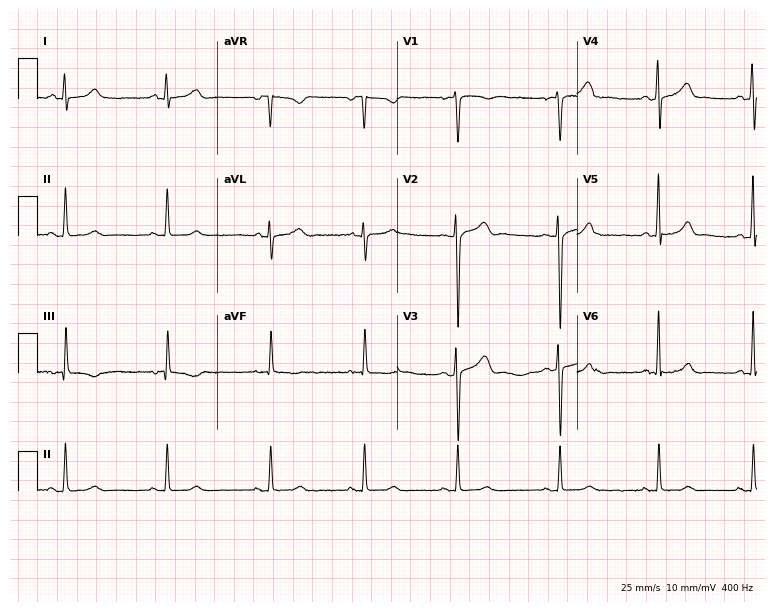
ECG (7.3-second recording at 400 Hz) — a male patient, 33 years old. Labelled as a normal ECG.